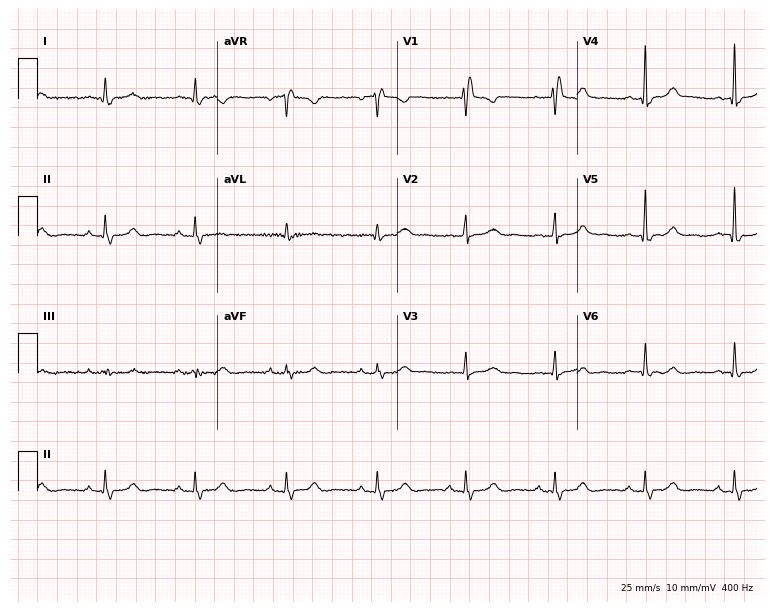
Electrocardiogram, a 53-year-old woman. Interpretation includes right bundle branch block (RBBB).